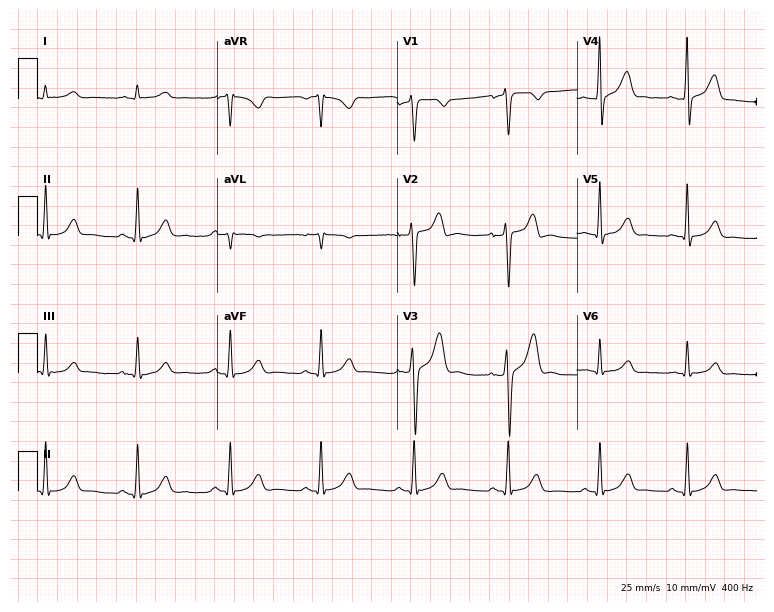
Resting 12-lead electrocardiogram. Patient: a 43-year-old male. None of these six findings is recorded: first-degree AV block, right bundle branch block, left bundle branch block, sinus bradycardia, atrial fibrillation, sinus tachycardia. Findings outside these six are not listed.